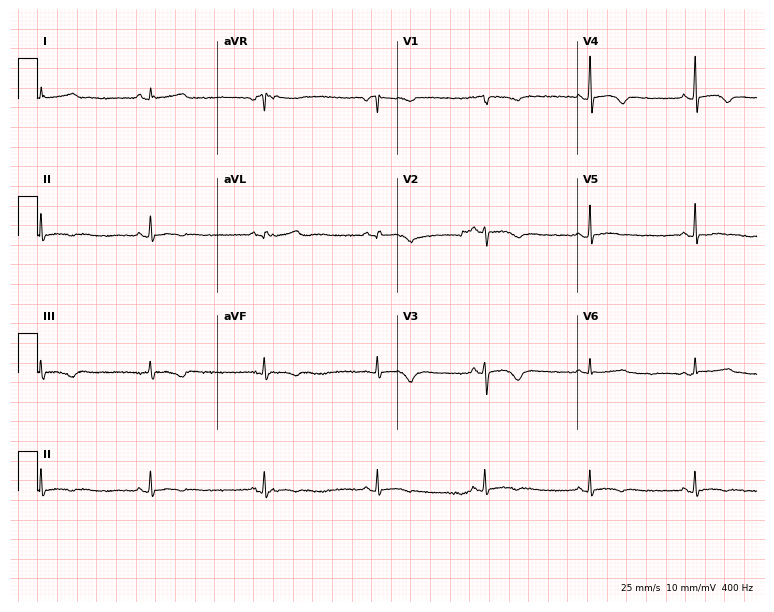
12-lead ECG from a 23-year-old woman (7.3-second recording at 400 Hz). No first-degree AV block, right bundle branch block (RBBB), left bundle branch block (LBBB), sinus bradycardia, atrial fibrillation (AF) or sinus tachycardia recorded for this tracing. Findings outside these six are not listed.